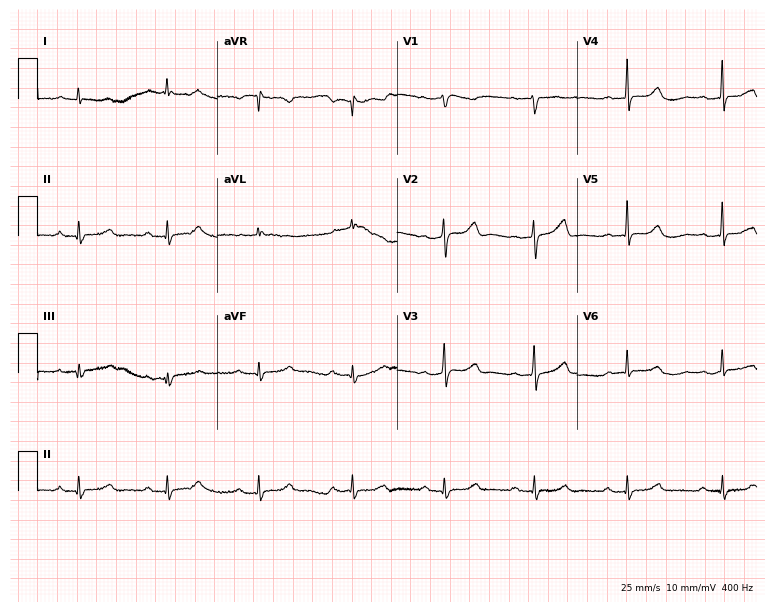
ECG (7.3-second recording at 400 Hz) — a female patient, 40 years old. Findings include first-degree AV block.